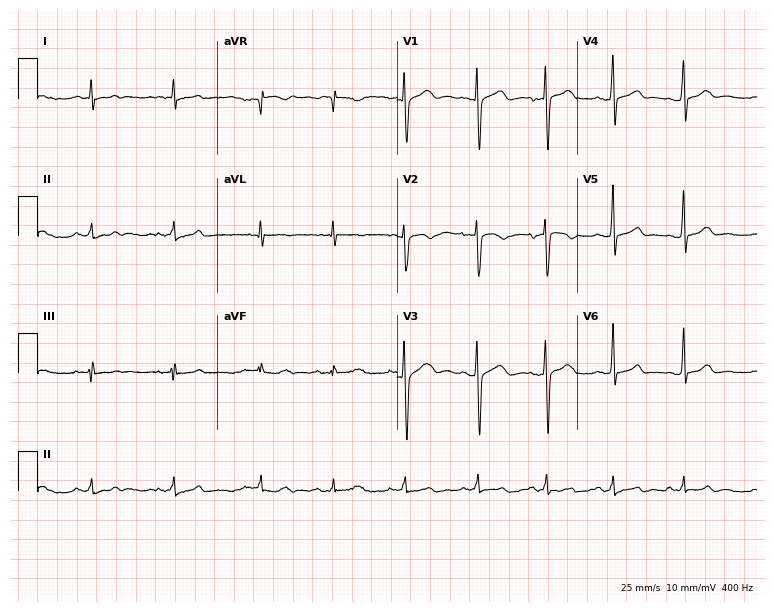
ECG — a female patient, 28 years old. Screened for six findings — first-degree AV block, right bundle branch block, left bundle branch block, sinus bradycardia, atrial fibrillation, sinus tachycardia — none is recorded. Only these six findings were labelled.